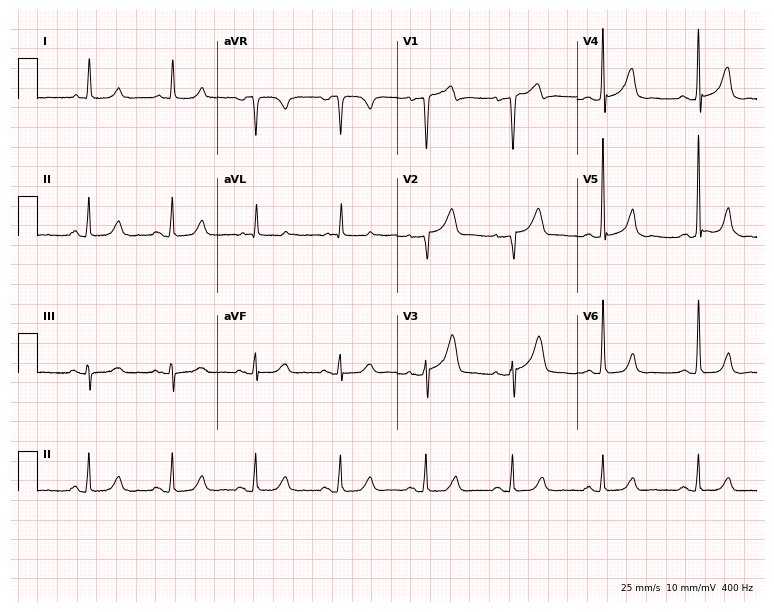
ECG (7.3-second recording at 400 Hz) — a 71-year-old woman. Screened for six findings — first-degree AV block, right bundle branch block, left bundle branch block, sinus bradycardia, atrial fibrillation, sinus tachycardia — none is recorded.